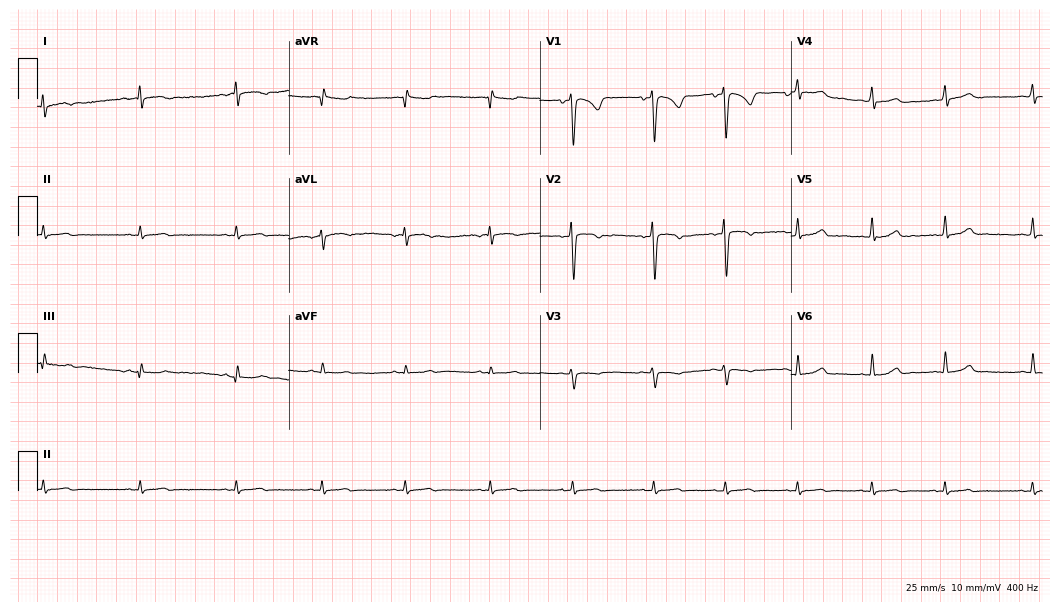
Standard 12-lead ECG recorded from a female, 28 years old (10.2-second recording at 400 Hz). None of these six findings is recorded: first-degree AV block, right bundle branch block, left bundle branch block, sinus bradycardia, atrial fibrillation, sinus tachycardia.